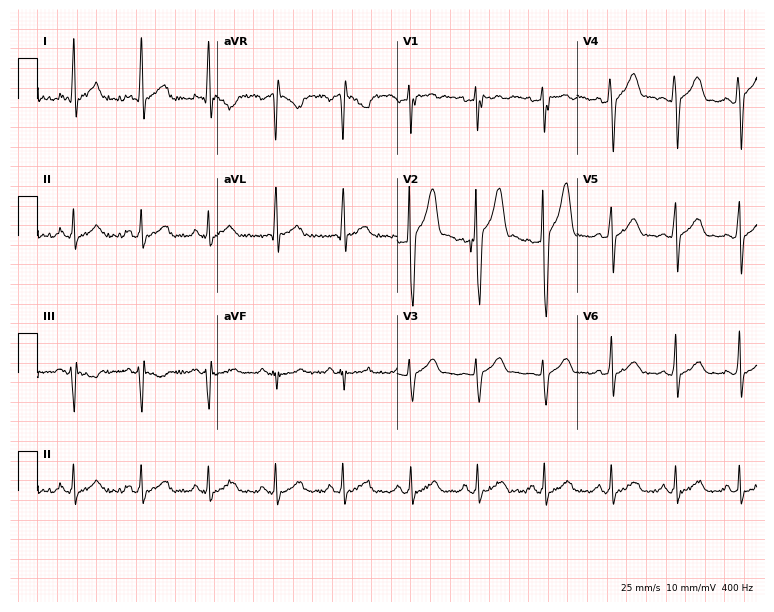
ECG — a male patient, 30 years old. Screened for six findings — first-degree AV block, right bundle branch block, left bundle branch block, sinus bradycardia, atrial fibrillation, sinus tachycardia — none is recorded. Other findings, if any, are not listed.